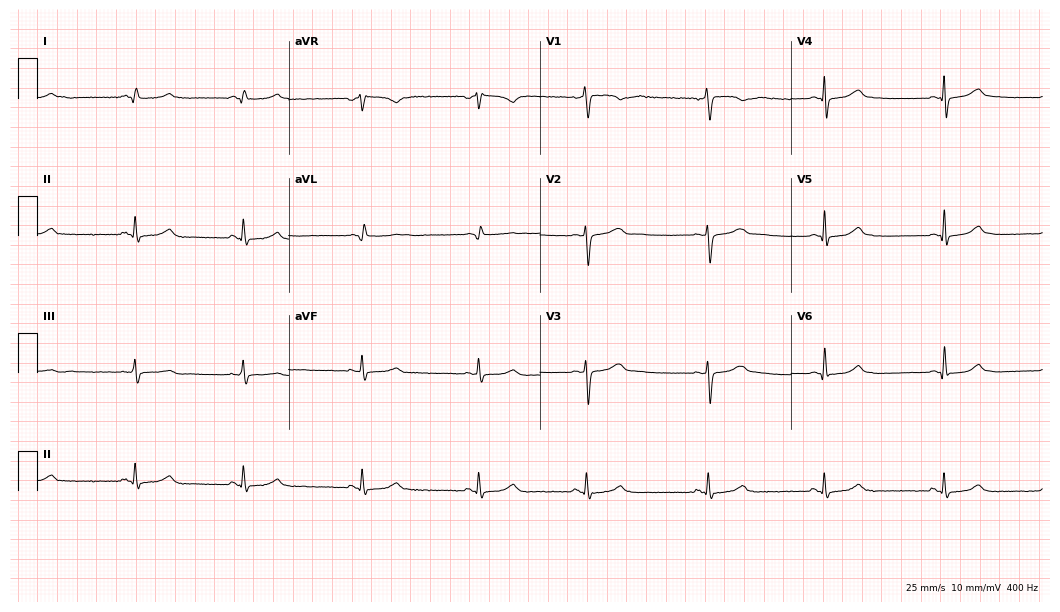
Resting 12-lead electrocardiogram. Patient: a female, 32 years old. Read as a normal ECG.